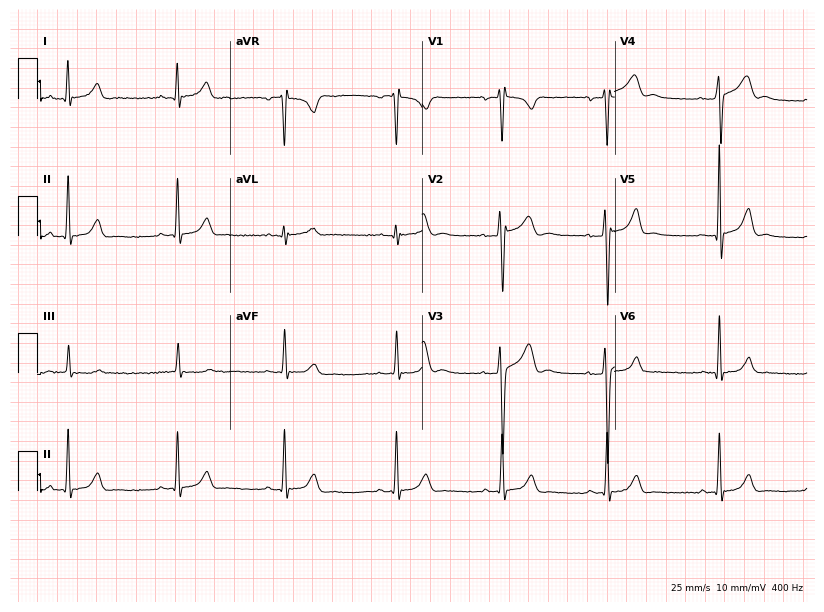
12-lead ECG from a male patient, 18 years old (7.8-second recording at 400 Hz). No first-degree AV block, right bundle branch block, left bundle branch block, sinus bradycardia, atrial fibrillation or sinus tachycardia recorded for this tracing.